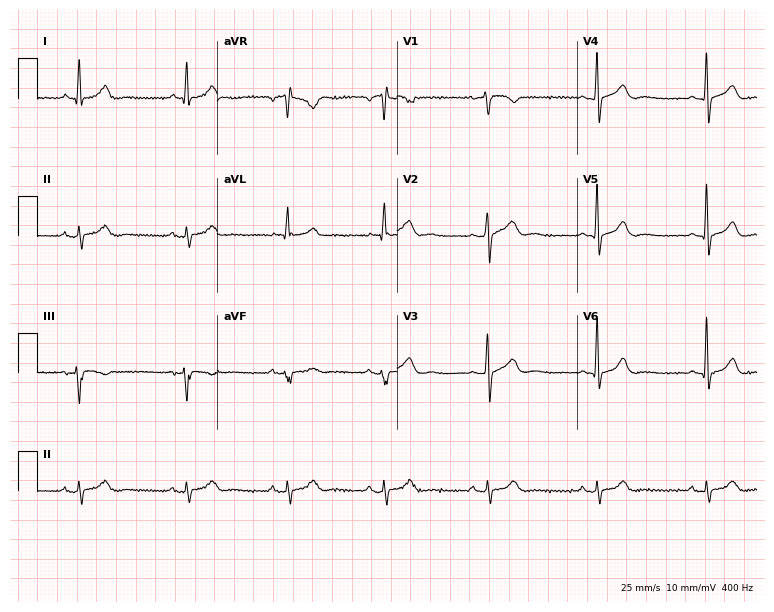
ECG — a female patient, 66 years old. Screened for six findings — first-degree AV block, right bundle branch block, left bundle branch block, sinus bradycardia, atrial fibrillation, sinus tachycardia — none is recorded.